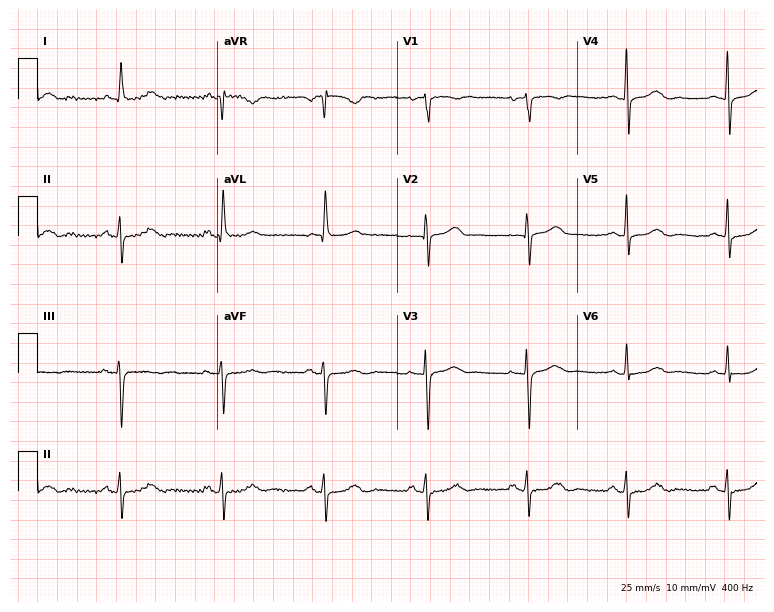
Resting 12-lead electrocardiogram (7.3-second recording at 400 Hz). Patient: a 71-year-old woman. None of these six findings is recorded: first-degree AV block, right bundle branch block, left bundle branch block, sinus bradycardia, atrial fibrillation, sinus tachycardia.